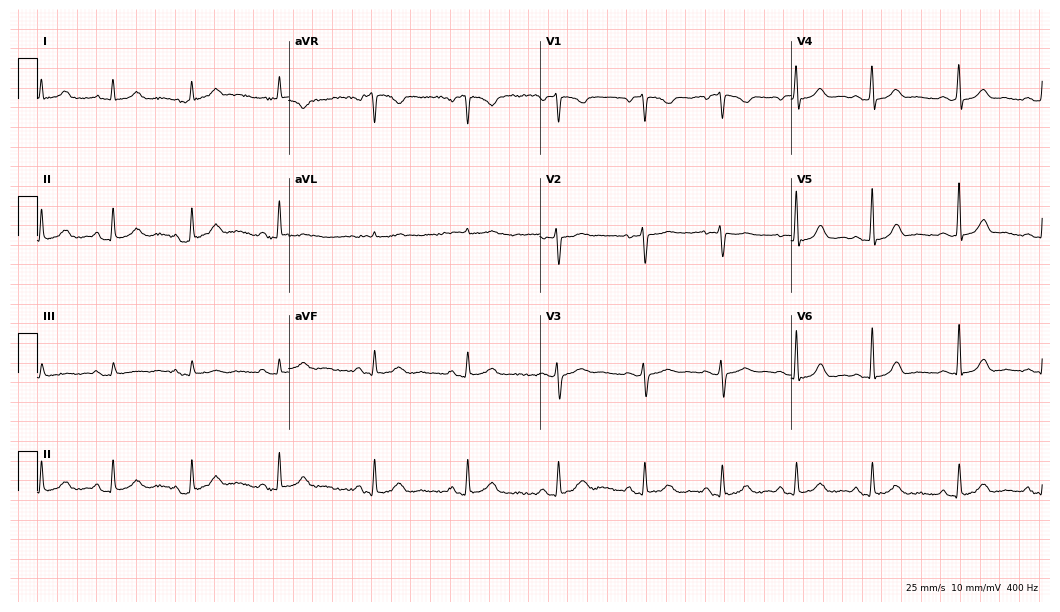
Standard 12-lead ECG recorded from a 25-year-old woman (10.2-second recording at 400 Hz). Read as a normal ECG.